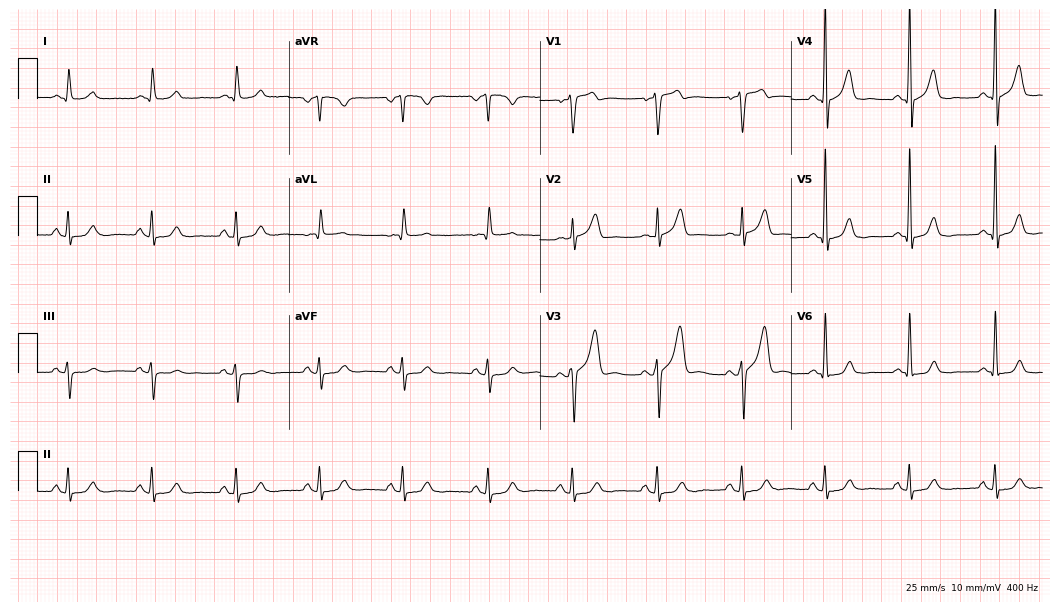
ECG (10.2-second recording at 400 Hz) — a 71-year-old man. Labelled as a normal ECG.